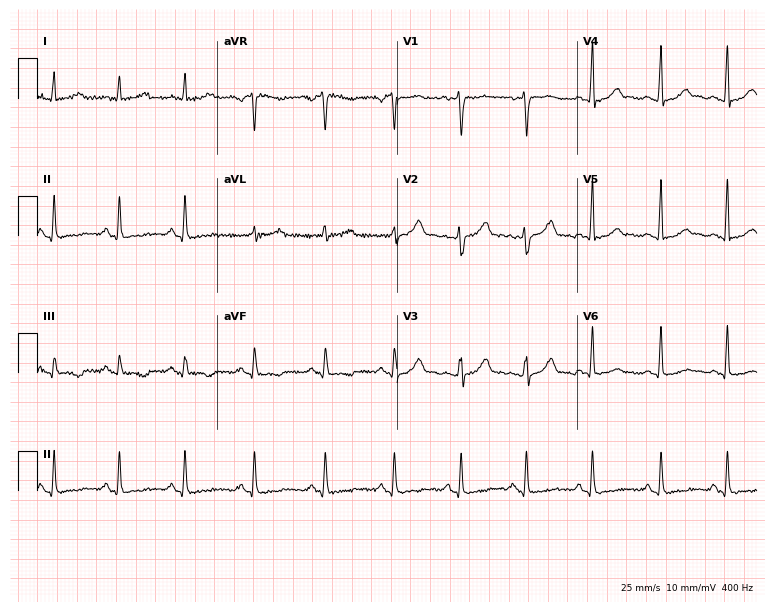
Standard 12-lead ECG recorded from a female patient, 40 years old. None of these six findings is recorded: first-degree AV block, right bundle branch block, left bundle branch block, sinus bradycardia, atrial fibrillation, sinus tachycardia.